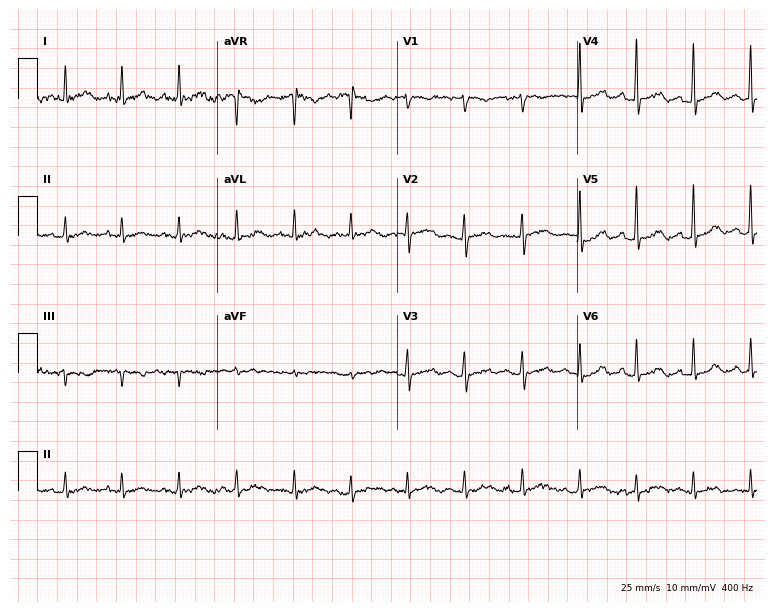
12-lead ECG (7.3-second recording at 400 Hz) from a female patient, 71 years old. Findings include sinus tachycardia (a sinus rate of 100 beats per minute or more).